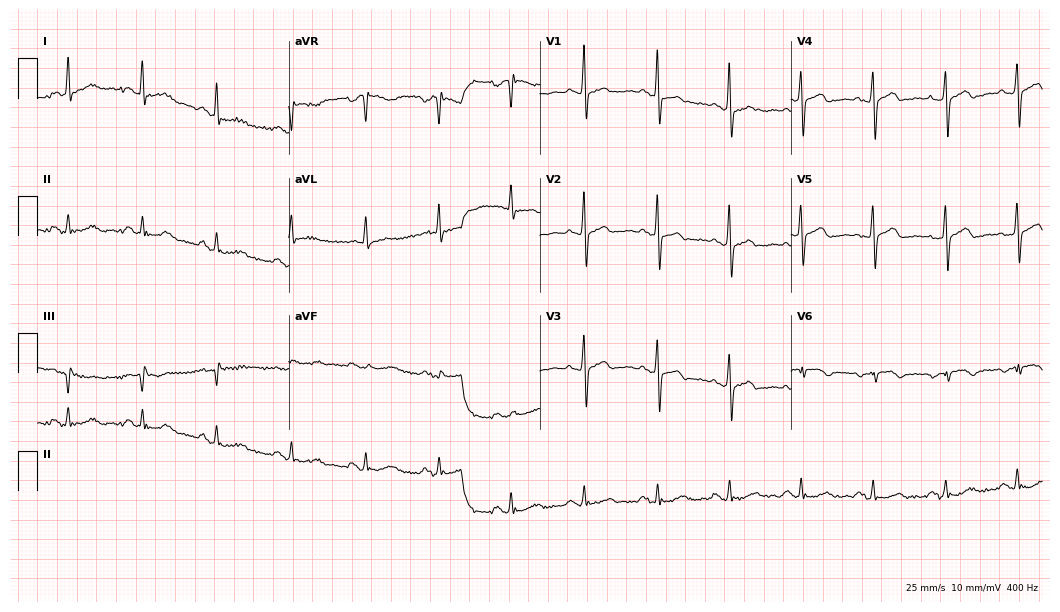
ECG (10.2-second recording at 400 Hz) — a 71-year-old female. Screened for six findings — first-degree AV block, right bundle branch block (RBBB), left bundle branch block (LBBB), sinus bradycardia, atrial fibrillation (AF), sinus tachycardia — none is recorded. Other findings, if any, are not listed.